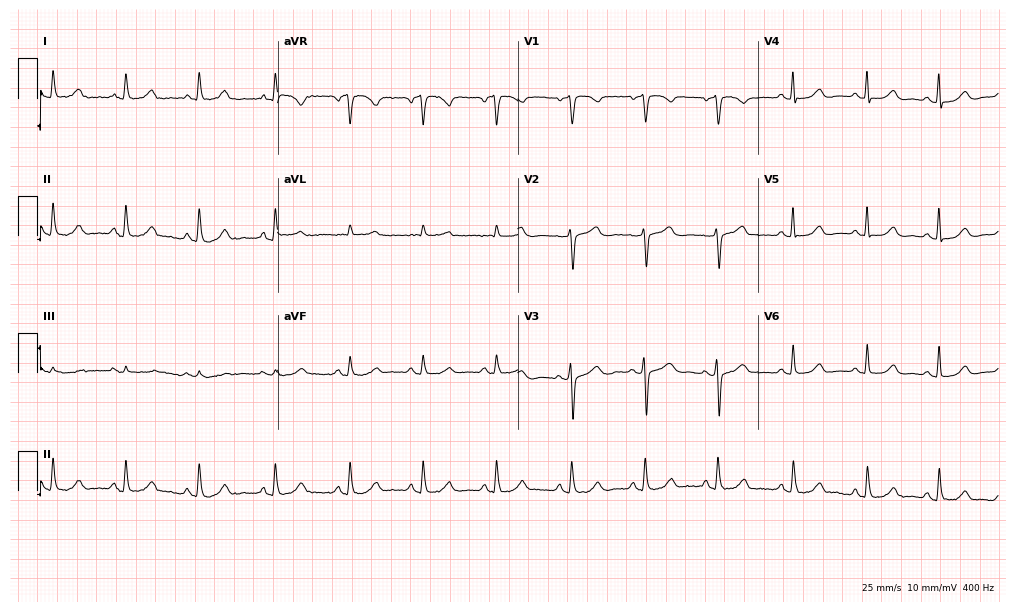
12-lead ECG from a 72-year-old female. Labelled as a normal ECG.